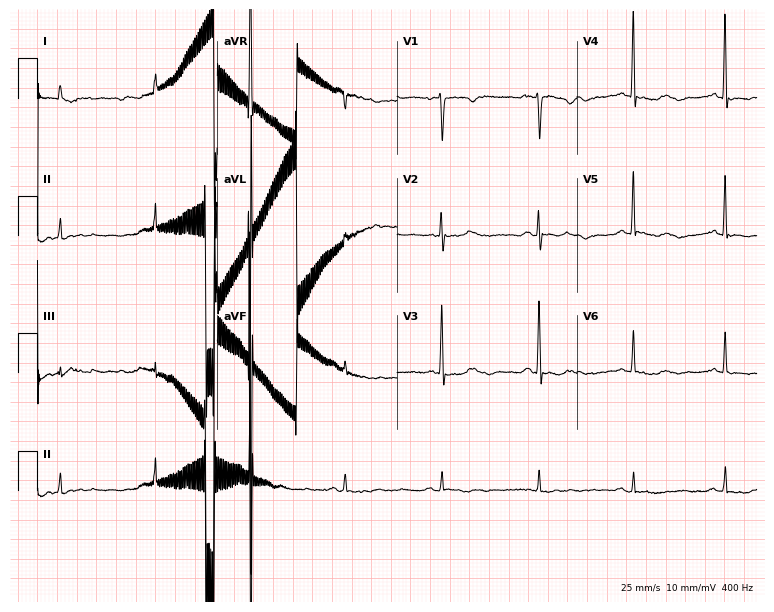
ECG — a woman, 52 years old. Screened for six findings — first-degree AV block, right bundle branch block (RBBB), left bundle branch block (LBBB), sinus bradycardia, atrial fibrillation (AF), sinus tachycardia — none is recorded. Only these six findings were labelled.